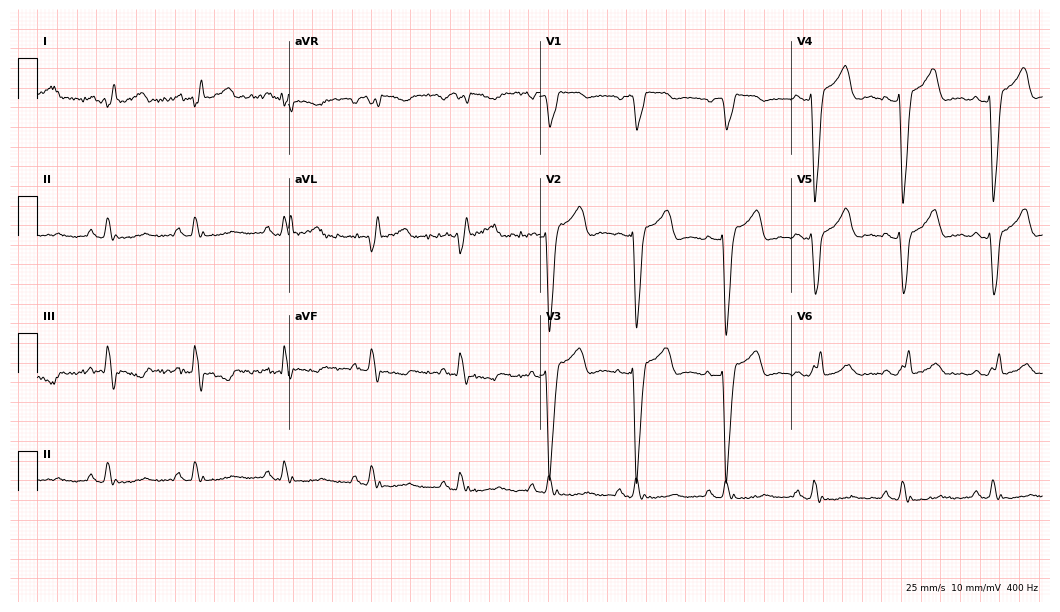
Standard 12-lead ECG recorded from a 69-year-old female. The tracing shows left bundle branch block (LBBB).